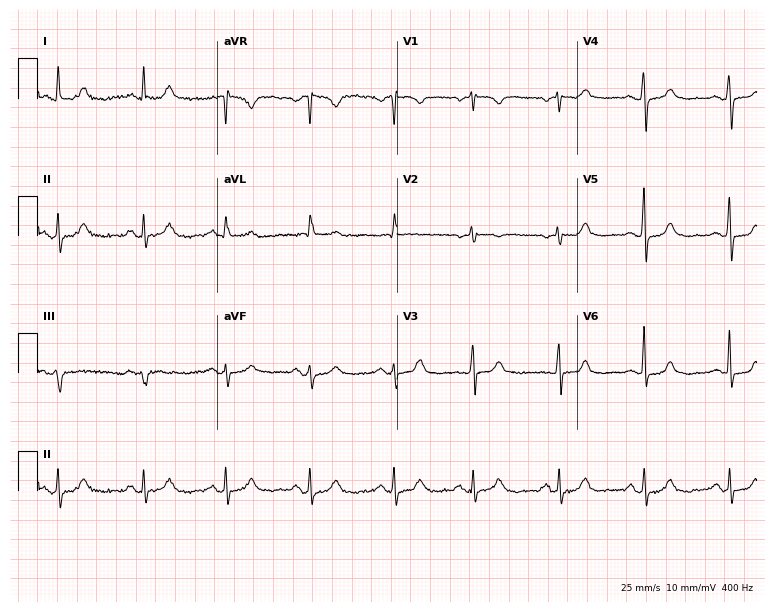
12-lead ECG from a female, 82 years old. No first-degree AV block, right bundle branch block, left bundle branch block, sinus bradycardia, atrial fibrillation or sinus tachycardia recorded for this tracing.